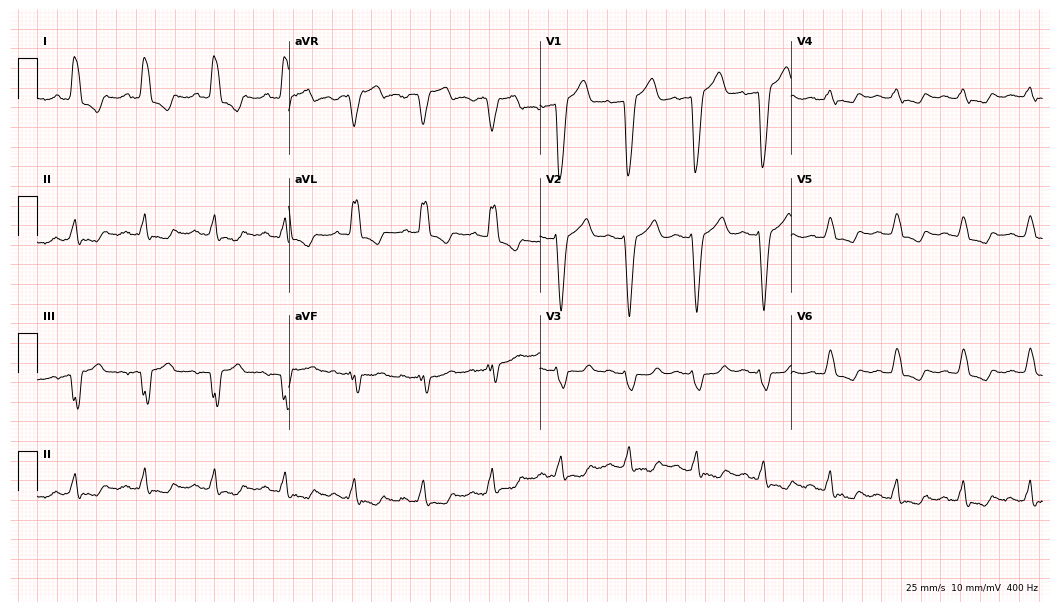
12-lead ECG from a 64-year-old man. Shows left bundle branch block.